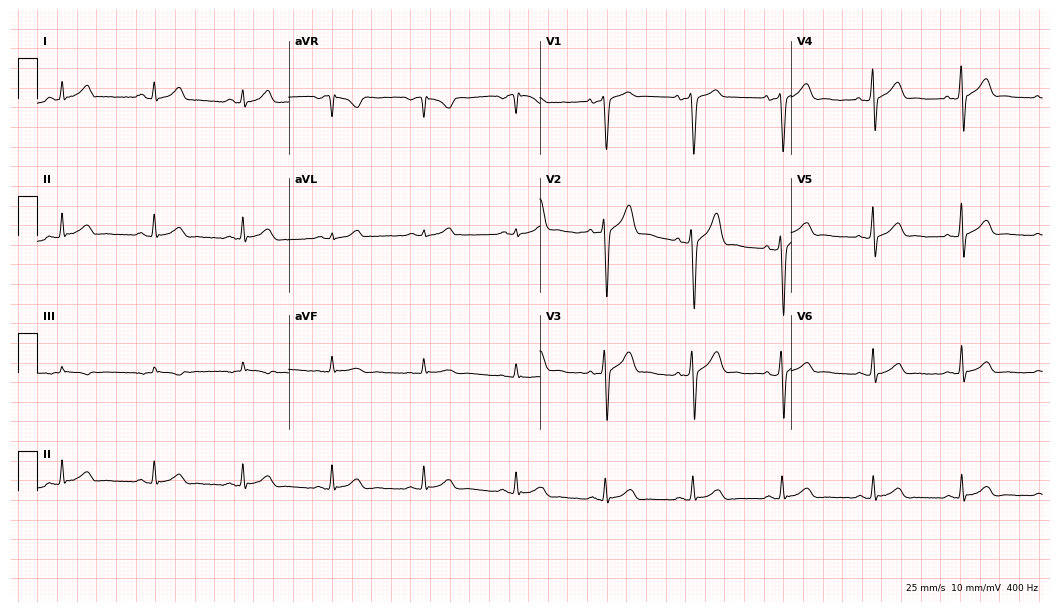
ECG — a male, 25 years old. Labelled as a normal ECG.